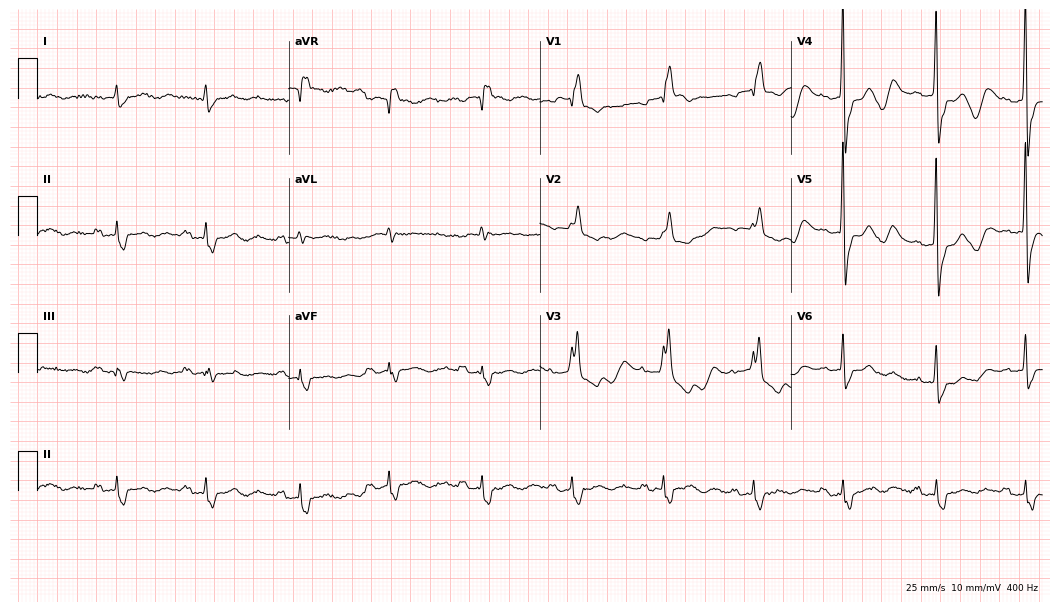
Electrocardiogram, an 81-year-old female patient. Interpretation includes right bundle branch block.